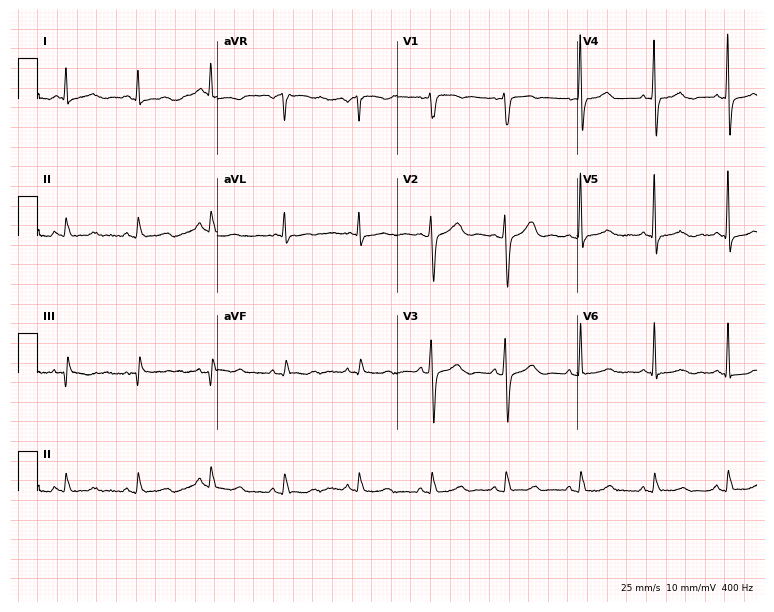
Standard 12-lead ECG recorded from a woman, 63 years old. None of these six findings is recorded: first-degree AV block, right bundle branch block (RBBB), left bundle branch block (LBBB), sinus bradycardia, atrial fibrillation (AF), sinus tachycardia.